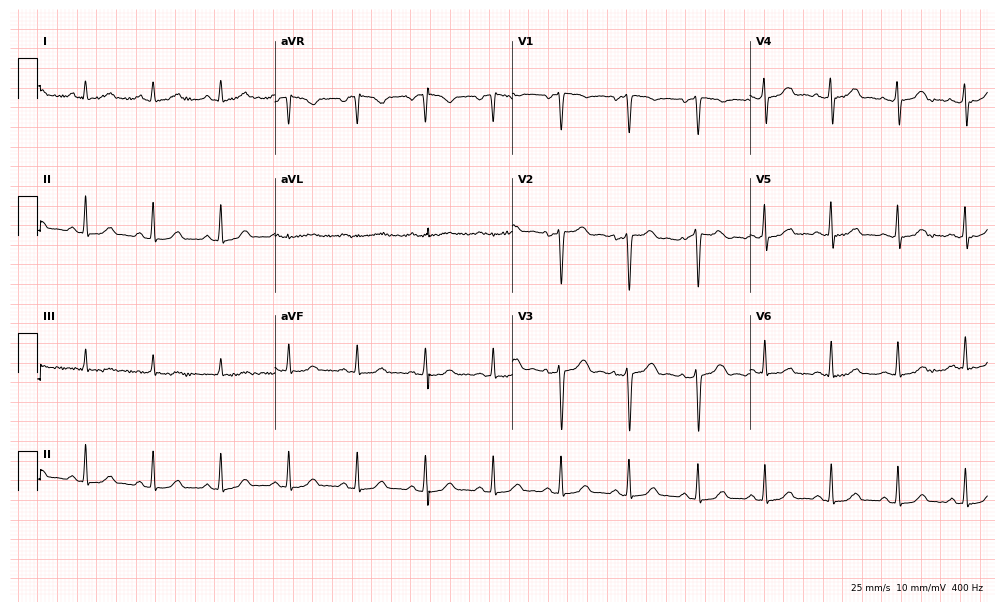
Standard 12-lead ECG recorded from a 39-year-old woman. Read as a normal ECG.